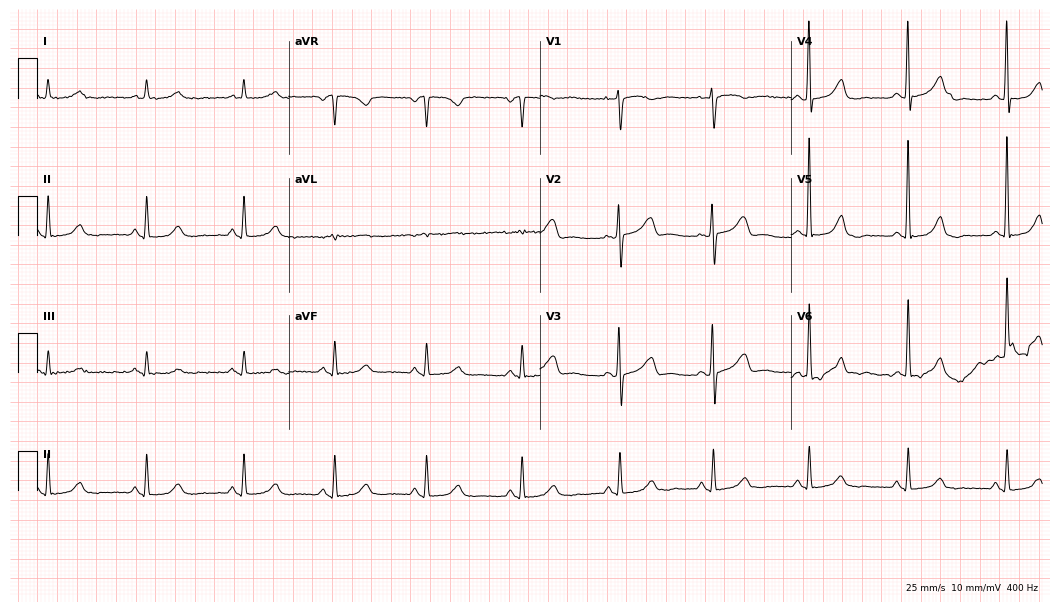
Electrocardiogram (10.2-second recording at 400 Hz), a woman, 72 years old. Of the six screened findings (first-degree AV block, right bundle branch block, left bundle branch block, sinus bradycardia, atrial fibrillation, sinus tachycardia), none is recorded.